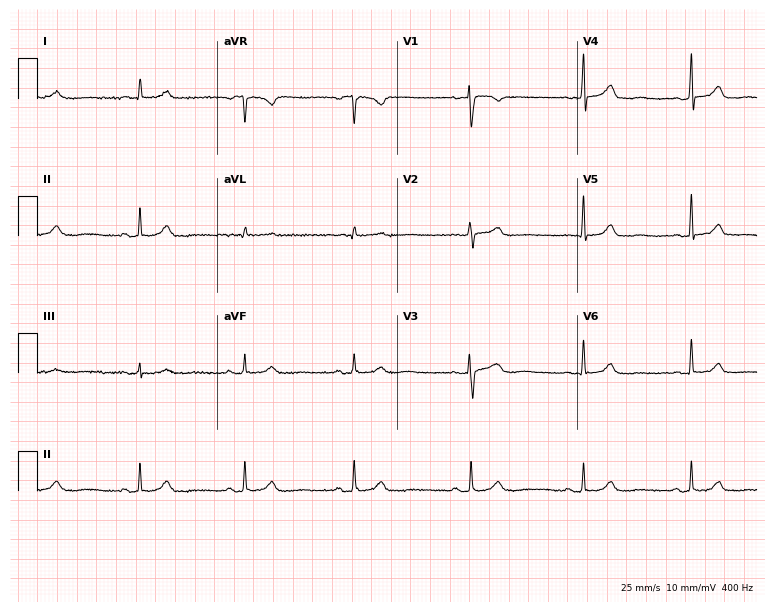
Electrocardiogram (7.3-second recording at 400 Hz), a female, 40 years old. Overall reading on record: normal ECG.